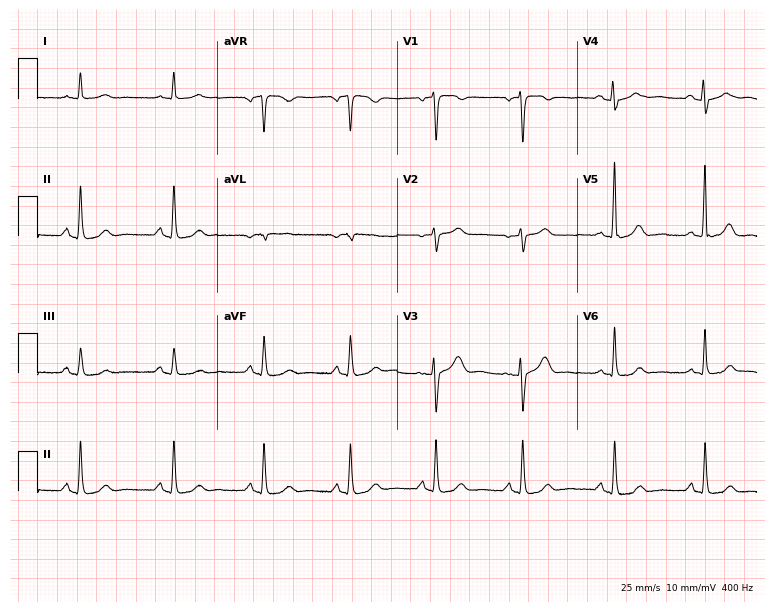
12-lead ECG from a female patient, 53 years old. Labelled as a normal ECG.